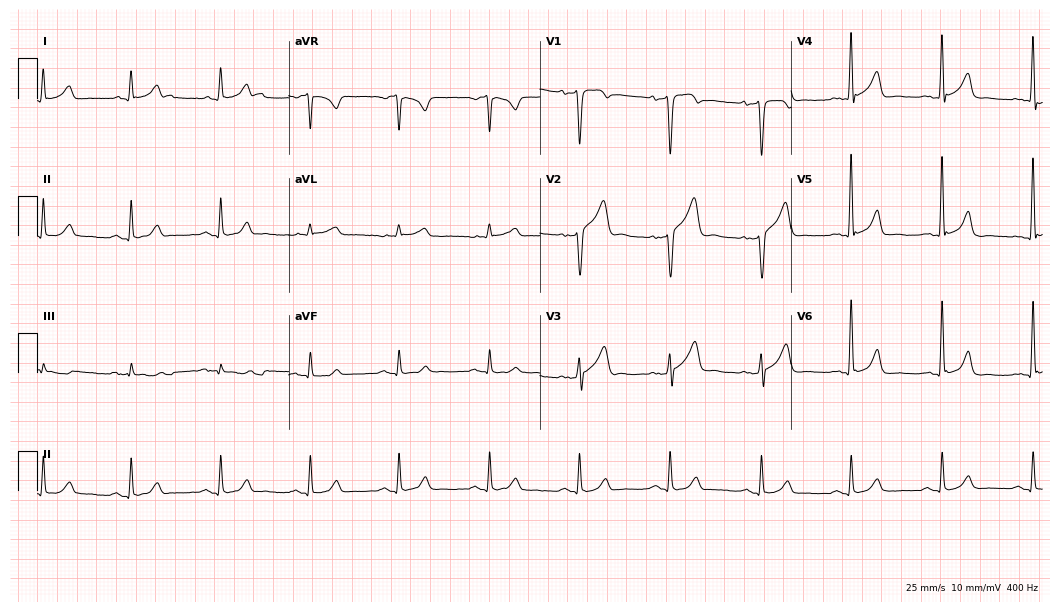
ECG (10.2-second recording at 400 Hz) — a 47-year-old man. Labelled as a normal ECG.